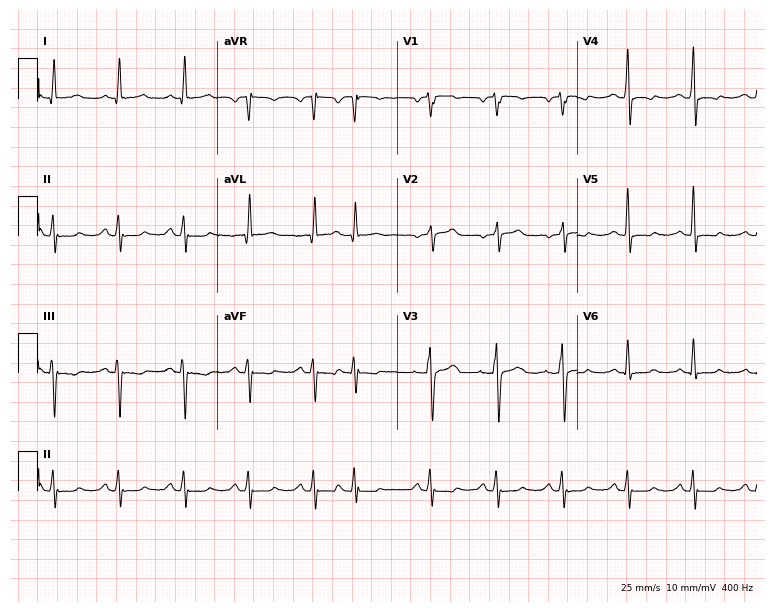
Standard 12-lead ECG recorded from a male, 76 years old. None of these six findings is recorded: first-degree AV block, right bundle branch block (RBBB), left bundle branch block (LBBB), sinus bradycardia, atrial fibrillation (AF), sinus tachycardia.